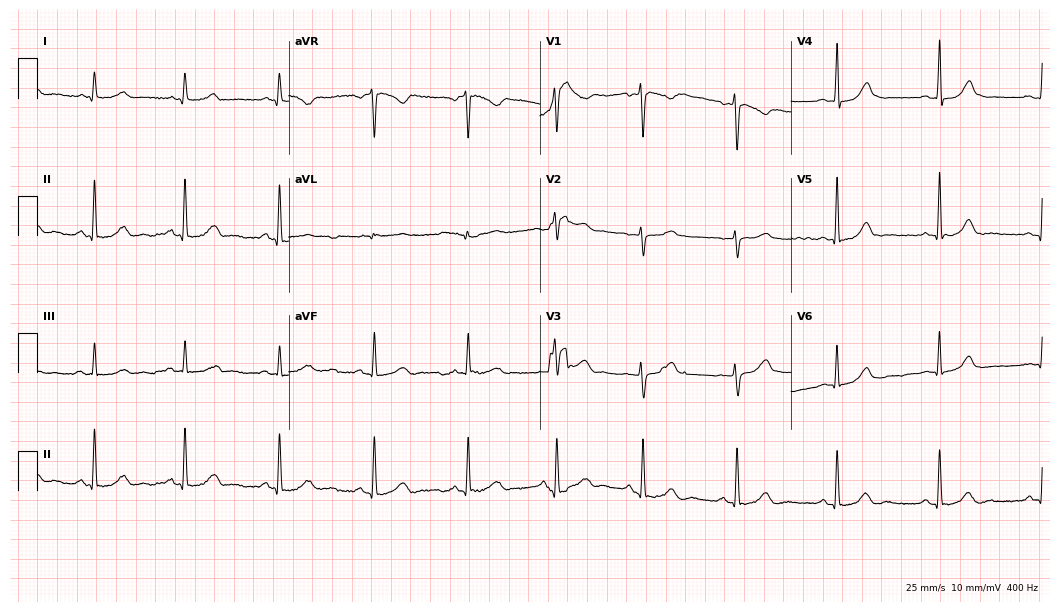
12-lead ECG from a 36-year-old woman. No first-degree AV block, right bundle branch block (RBBB), left bundle branch block (LBBB), sinus bradycardia, atrial fibrillation (AF) or sinus tachycardia recorded for this tracing.